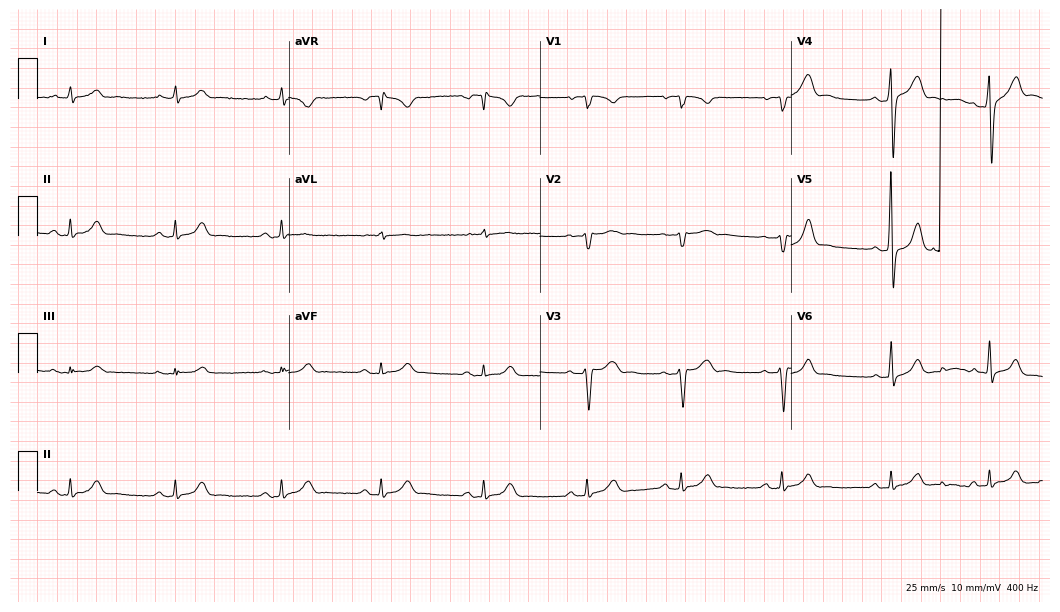
Resting 12-lead electrocardiogram. Patient: a 25-year-old man. Read as a normal ECG.